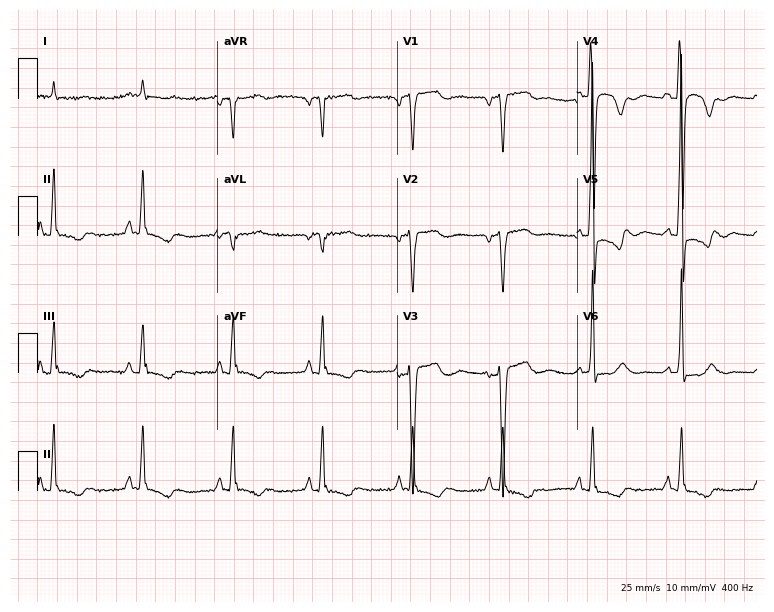
Standard 12-lead ECG recorded from a male patient, 77 years old. None of these six findings is recorded: first-degree AV block, right bundle branch block, left bundle branch block, sinus bradycardia, atrial fibrillation, sinus tachycardia. Findings outside these six are not listed.